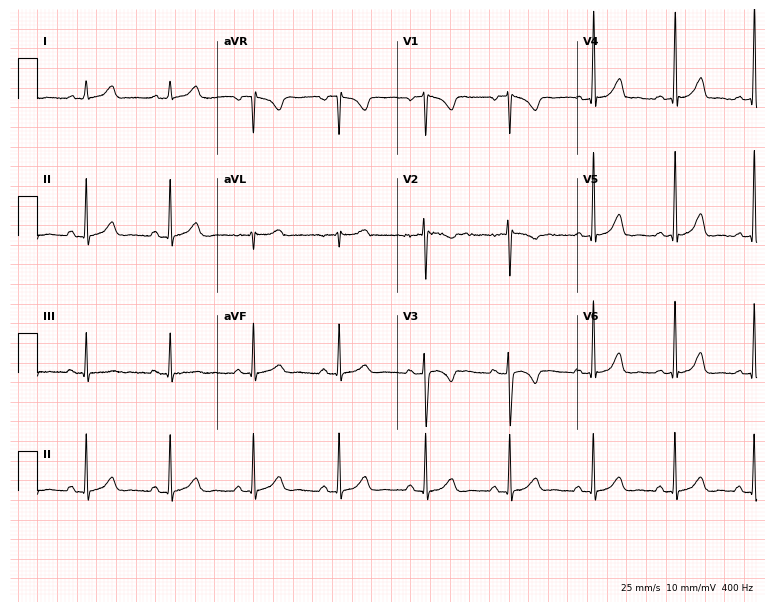
Electrocardiogram (7.3-second recording at 400 Hz), a female patient, 36 years old. Of the six screened findings (first-degree AV block, right bundle branch block, left bundle branch block, sinus bradycardia, atrial fibrillation, sinus tachycardia), none is recorded. Findings outside these six are not listed.